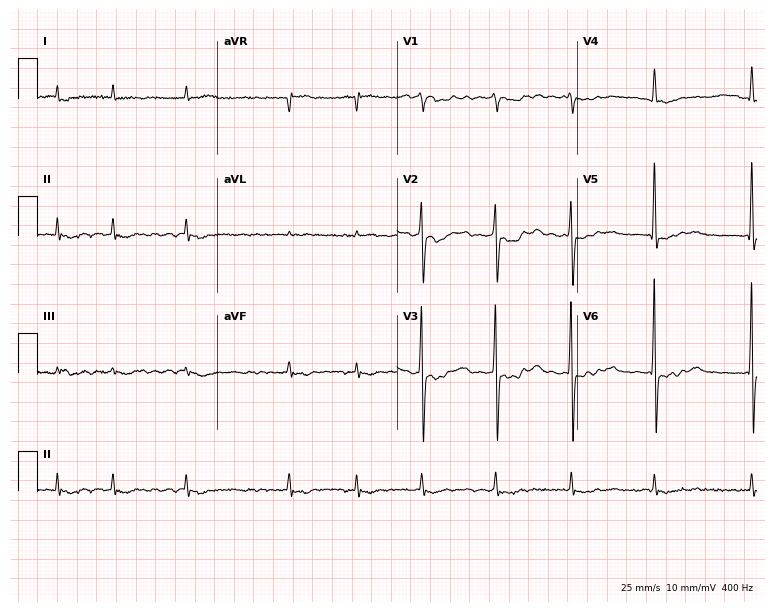
12-lead ECG from a 79-year-old male (7.3-second recording at 400 Hz). Shows atrial fibrillation.